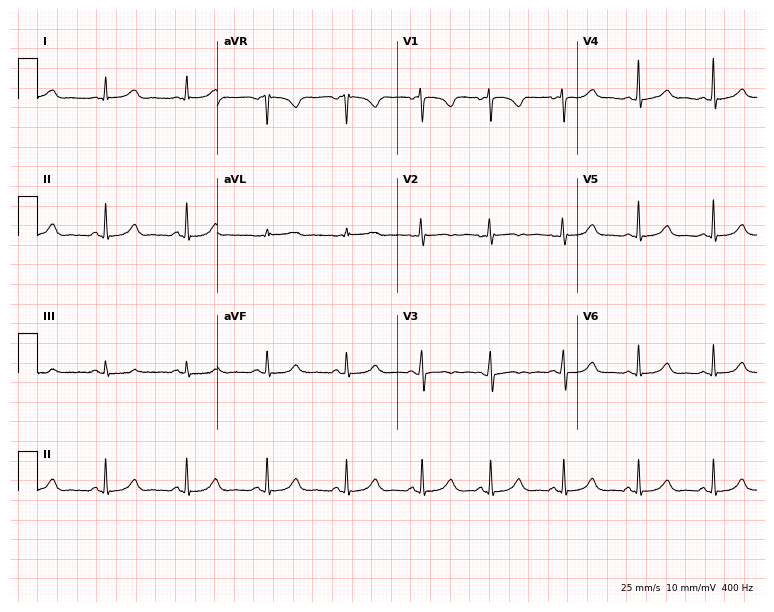
12-lead ECG from a woman, 29 years old. Labelled as a normal ECG.